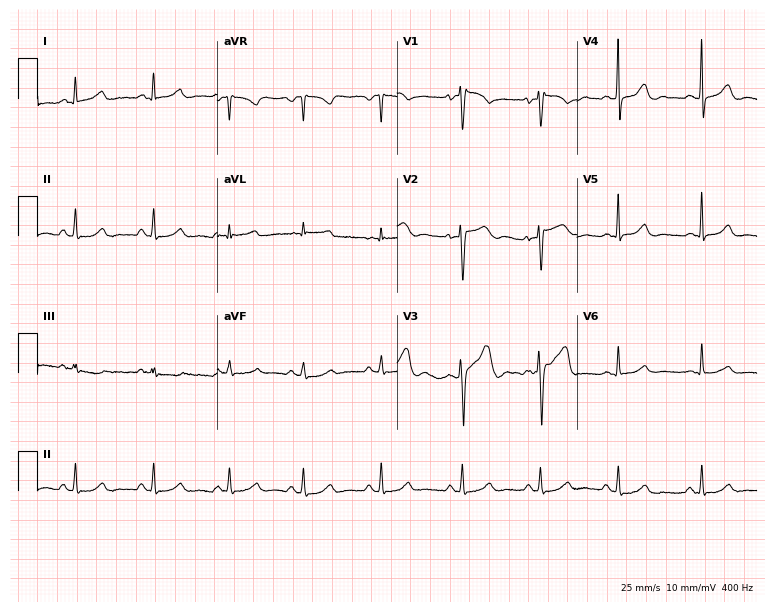
Resting 12-lead electrocardiogram (7.3-second recording at 400 Hz). Patient: a 44-year-old female. None of these six findings is recorded: first-degree AV block, right bundle branch block (RBBB), left bundle branch block (LBBB), sinus bradycardia, atrial fibrillation (AF), sinus tachycardia. Other findings, if any, are not listed.